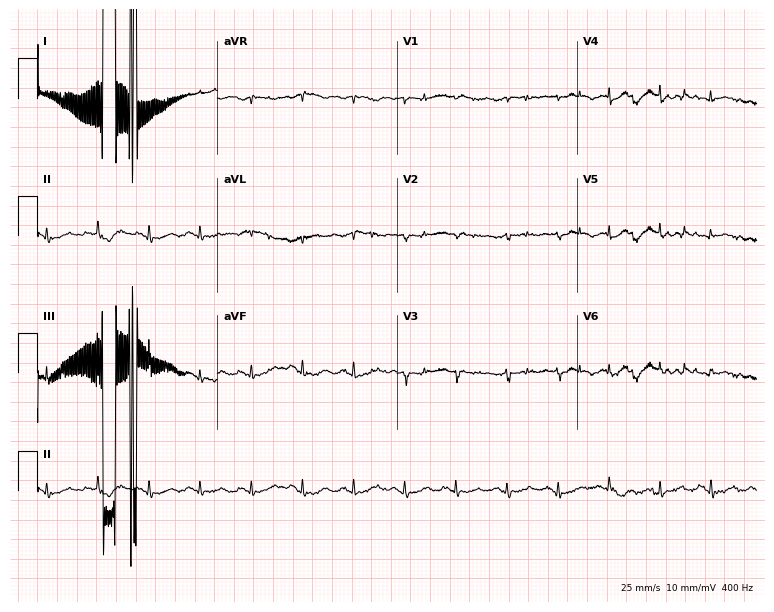
ECG — a 66-year-old man. Screened for six findings — first-degree AV block, right bundle branch block, left bundle branch block, sinus bradycardia, atrial fibrillation, sinus tachycardia — none is recorded.